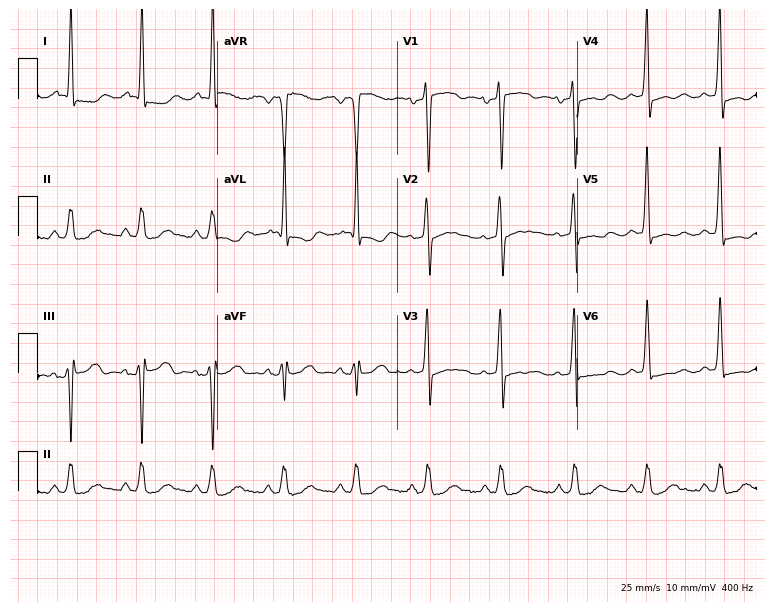
12-lead ECG from an 81-year-old man (7.3-second recording at 400 Hz). No first-degree AV block, right bundle branch block, left bundle branch block, sinus bradycardia, atrial fibrillation or sinus tachycardia recorded for this tracing.